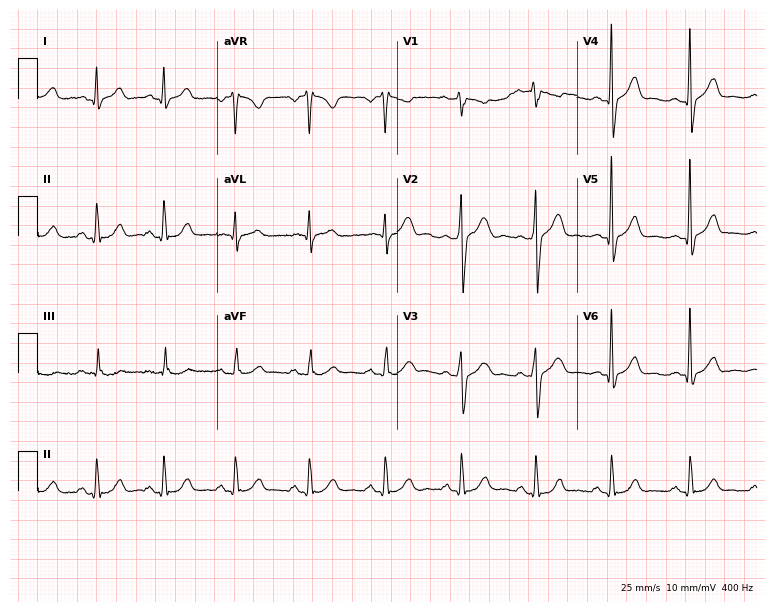
Electrocardiogram, a 57-year-old man. Overall reading on record: normal ECG.